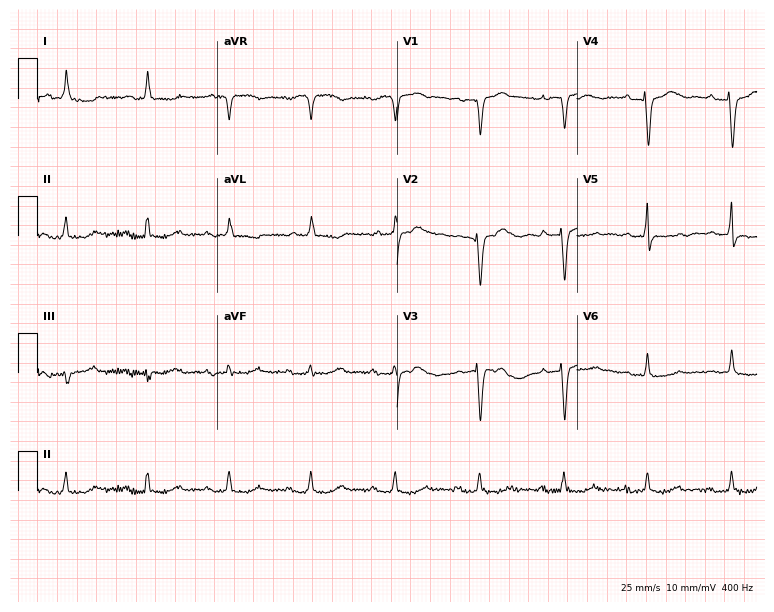
Standard 12-lead ECG recorded from a 78-year-old female. None of these six findings is recorded: first-degree AV block, right bundle branch block, left bundle branch block, sinus bradycardia, atrial fibrillation, sinus tachycardia. Only these six findings were labelled.